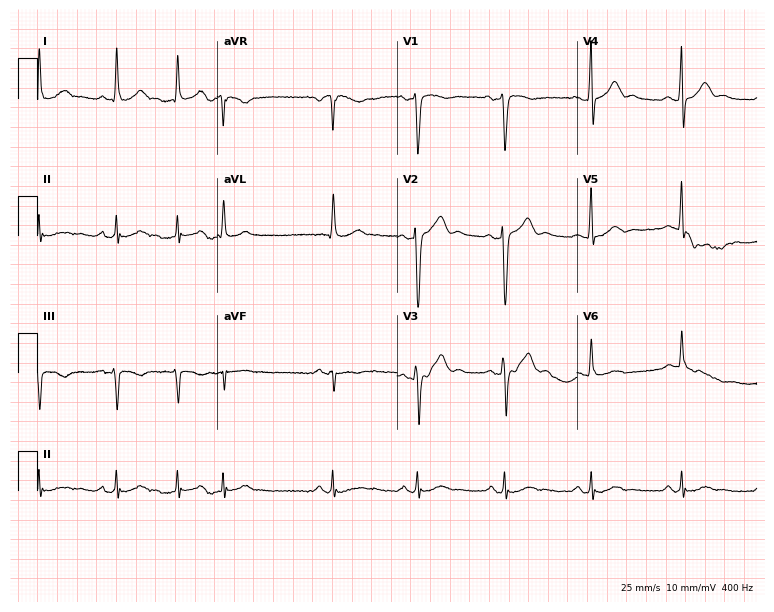
12-lead ECG from a male patient, 46 years old. No first-degree AV block, right bundle branch block, left bundle branch block, sinus bradycardia, atrial fibrillation or sinus tachycardia recorded for this tracing. Only these six findings were labelled.